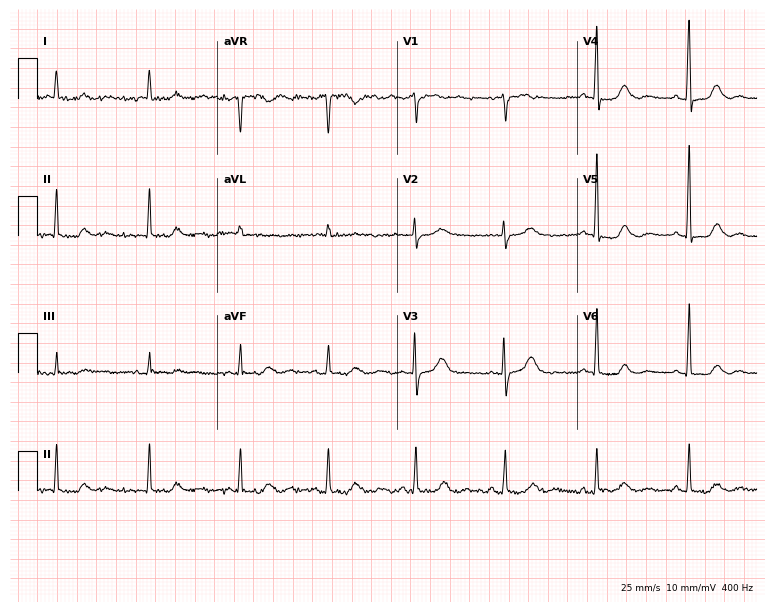
Electrocardiogram (7.3-second recording at 400 Hz), a 69-year-old female. Of the six screened findings (first-degree AV block, right bundle branch block (RBBB), left bundle branch block (LBBB), sinus bradycardia, atrial fibrillation (AF), sinus tachycardia), none is recorded.